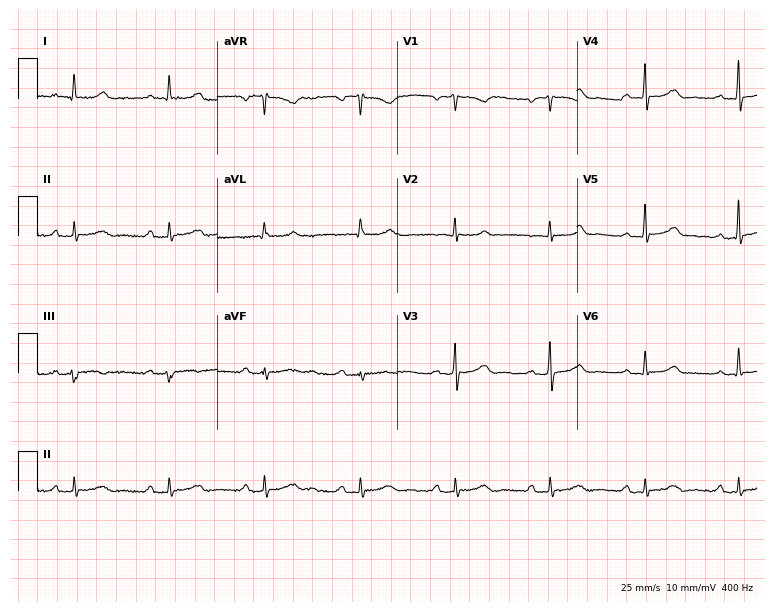
Resting 12-lead electrocardiogram. Patient: a male, 73 years old. Read as a normal ECG.